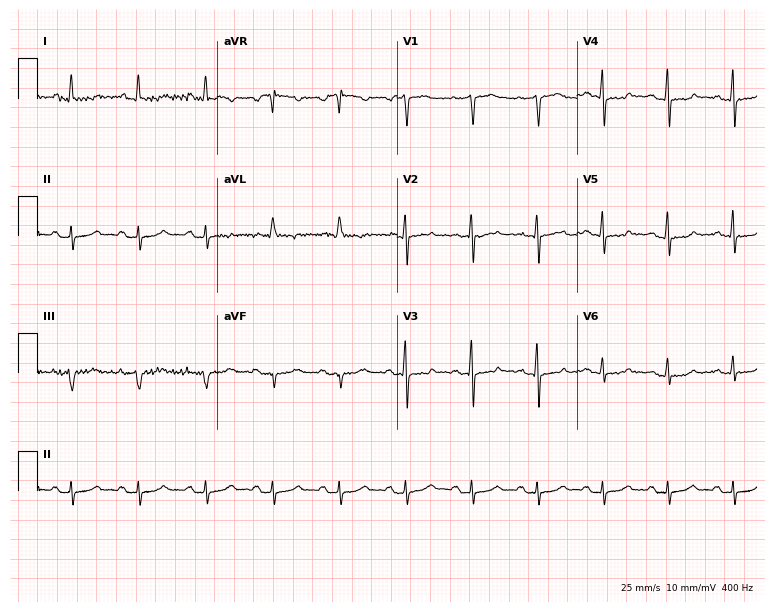
12-lead ECG (7.3-second recording at 400 Hz) from a male, 71 years old. Screened for six findings — first-degree AV block, right bundle branch block, left bundle branch block, sinus bradycardia, atrial fibrillation, sinus tachycardia — none is recorded.